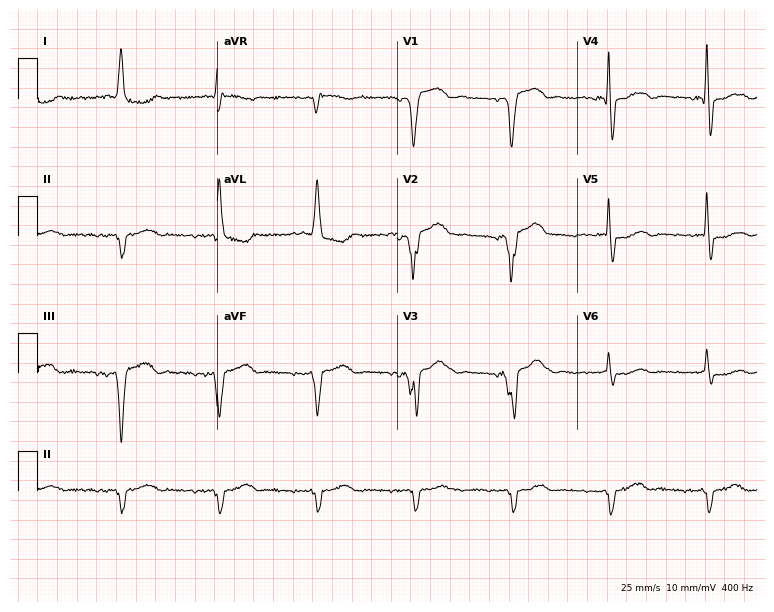
Electrocardiogram, a female, 77 years old. Of the six screened findings (first-degree AV block, right bundle branch block (RBBB), left bundle branch block (LBBB), sinus bradycardia, atrial fibrillation (AF), sinus tachycardia), none is recorded. Other findings, if any, are not listed.